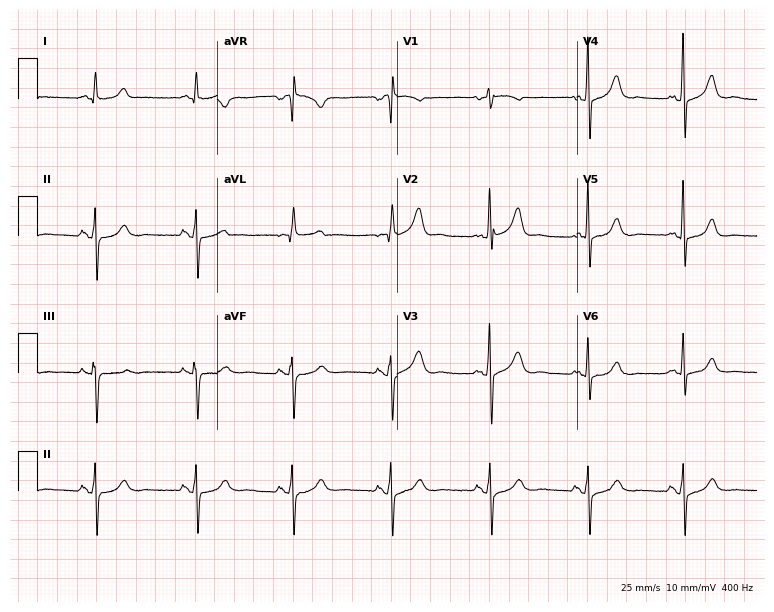
ECG — a 64-year-old female patient. Screened for six findings — first-degree AV block, right bundle branch block, left bundle branch block, sinus bradycardia, atrial fibrillation, sinus tachycardia — none is recorded.